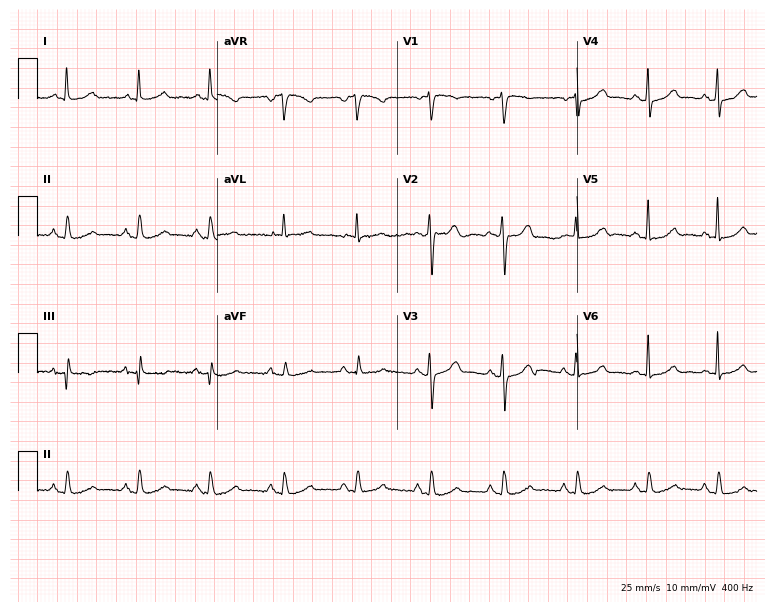
Electrocardiogram, a 75-year-old male. Overall reading on record: normal ECG.